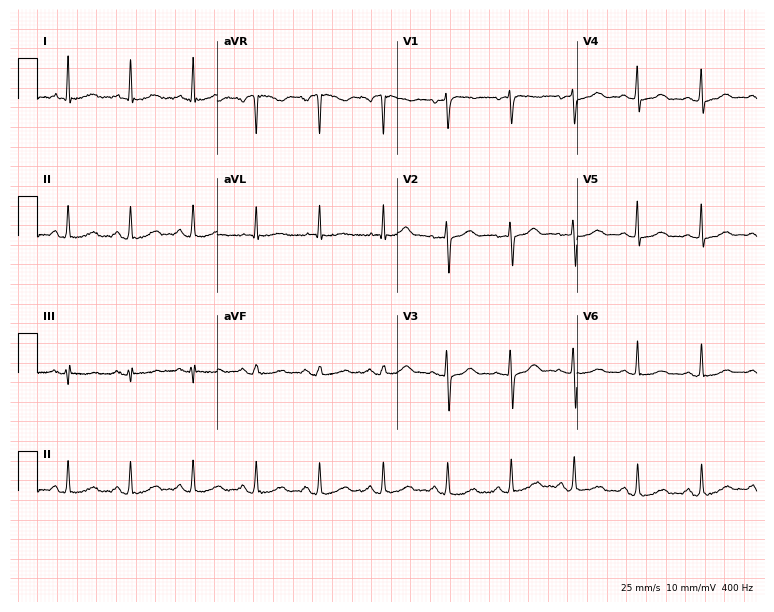
Resting 12-lead electrocardiogram. Patient: a woman, 54 years old. Read as a normal ECG.